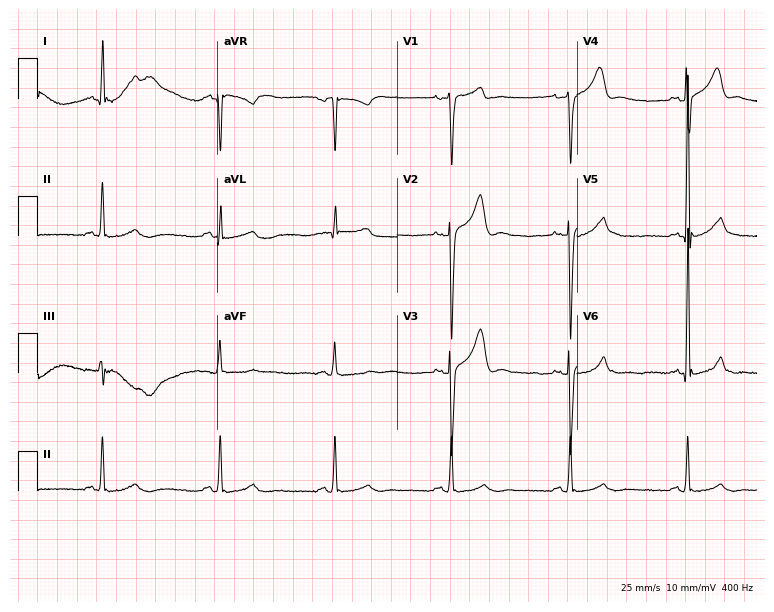
Electrocardiogram (7.3-second recording at 400 Hz), a male, 26 years old. Overall reading on record: normal ECG.